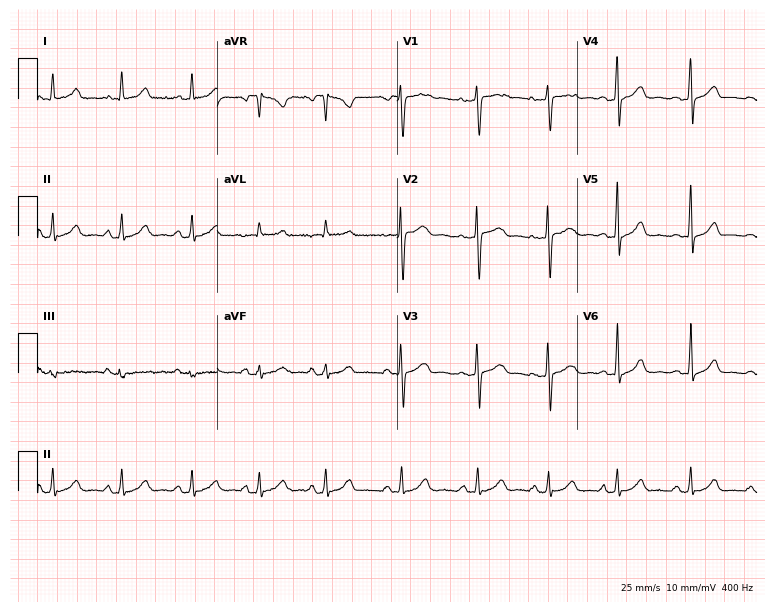
12-lead ECG from a female, 32 years old (7.3-second recording at 400 Hz). No first-degree AV block, right bundle branch block (RBBB), left bundle branch block (LBBB), sinus bradycardia, atrial fibrillation (AF) or sinus tachycardia recorded for this tracing. Only these six findings were labelled.